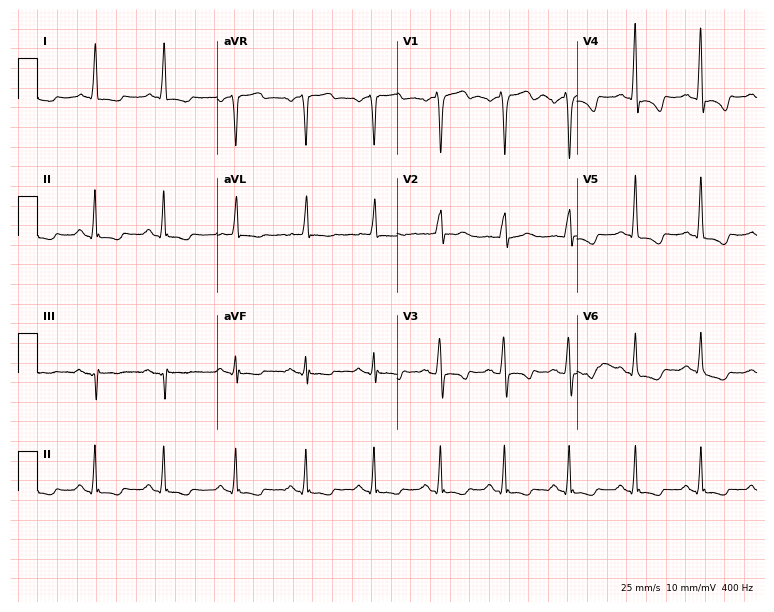
Standard 12-lead ECG recorded from a 59-year-old male. None of these six findings is recorded: first-degree AV block, right bundle branch block, left bundle branch block, sinus bradycardia, atrial fibrillation, sinus tachycardia. Findings outside these six are not listed.